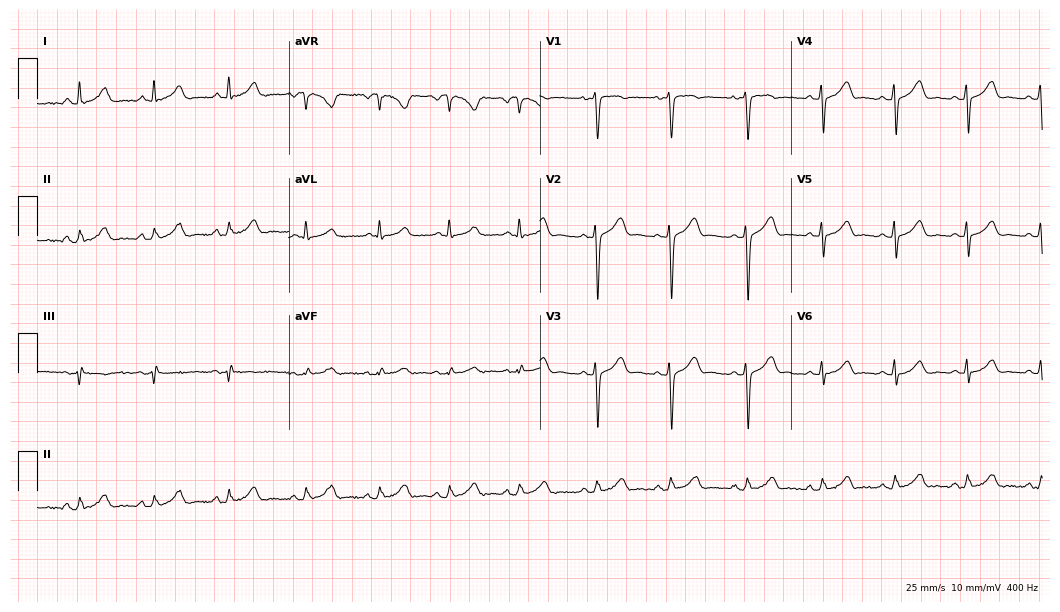
ECG (10.2-second recording at 400 Hz) — a 32-year-old woman. Screened for six findings — first-degree AV block, right bundle branch block, left bundle branch block, sinus bradycardia, atrial fibrillation, sinus tachycardia — none is recorded. Only these six findings were labelled.